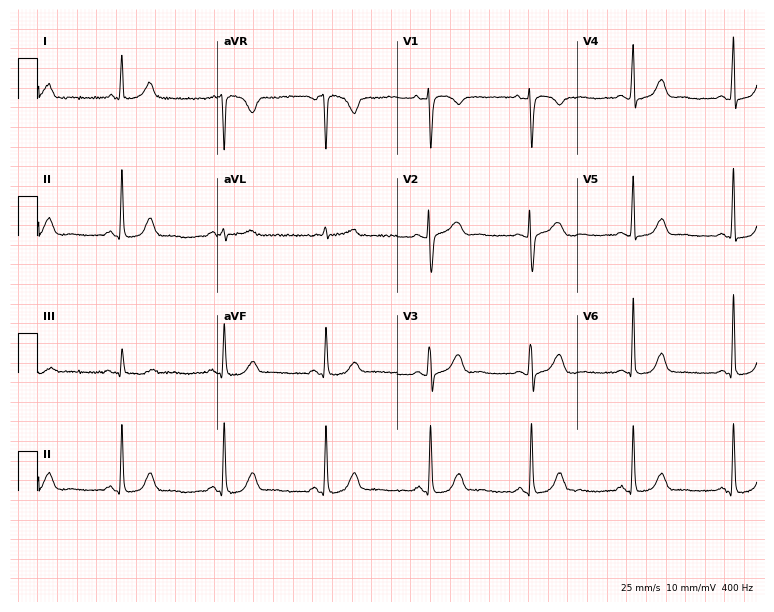
Standard 12-lead ECG recorded from a 68-year-old female patient. Read as a normal ECG.